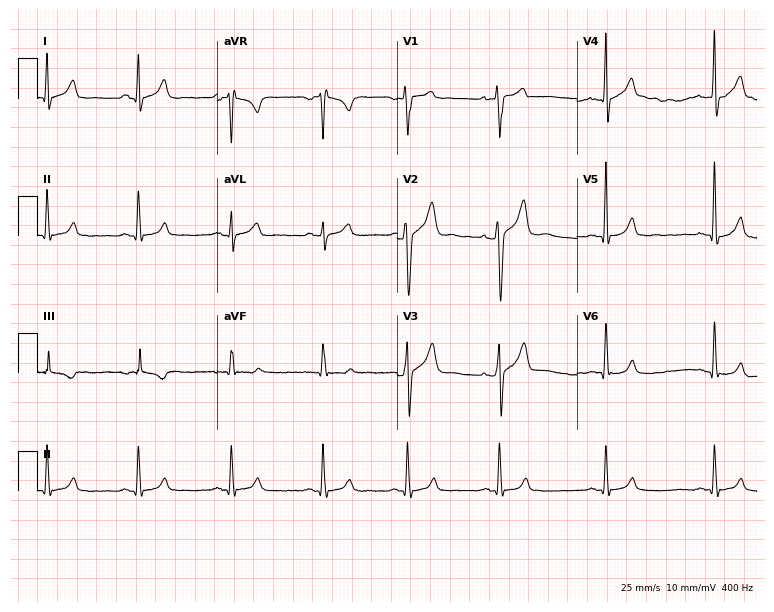
ECG (7.3-second recording at 400 Hz) — a man, 25 years old. Screened for six findings — first-degree AV block, right bundle branch block, left bundle branch block, sinus bradycardia, atrial fibrillation, sinus tachycardia — none is recorded. Only these six findings were labelled.